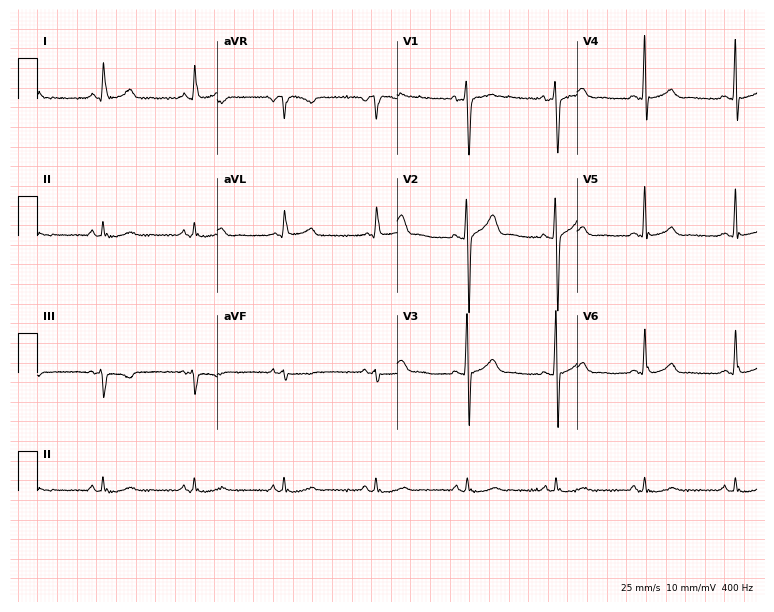
Standard 12-lead ECG recorded from a male patient, 38 years old. Read as a normal ECG.